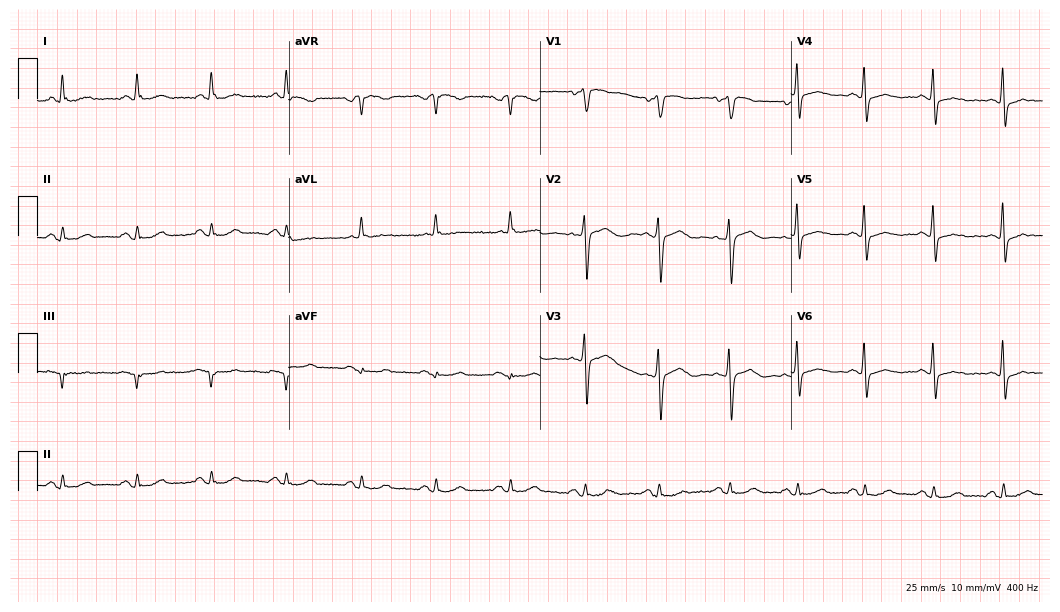
12-lead ECG (10.2-second recording at 400 Hz) from a 68-year-old male. Screened for six findings — first-degree AV block, right bundle branch block, left bundle branch block, sinus bradycardia, atrial fibrillation, sinus tachycardia — none is recorded. Only these six findings were labelled.